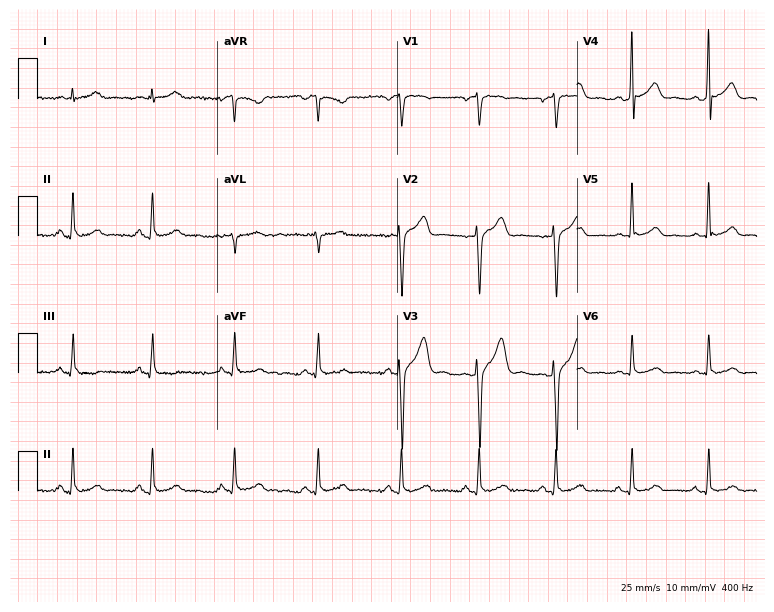
Standard 12-lead ECG recorded from a man, 33 years old. None of these six findings is recorded: first-degree AV block, right bundle branch block, left bundle branch block, sinus bradycardia, atrial fibrillation, sinus tachycardia. Findings outside these six are not listed.